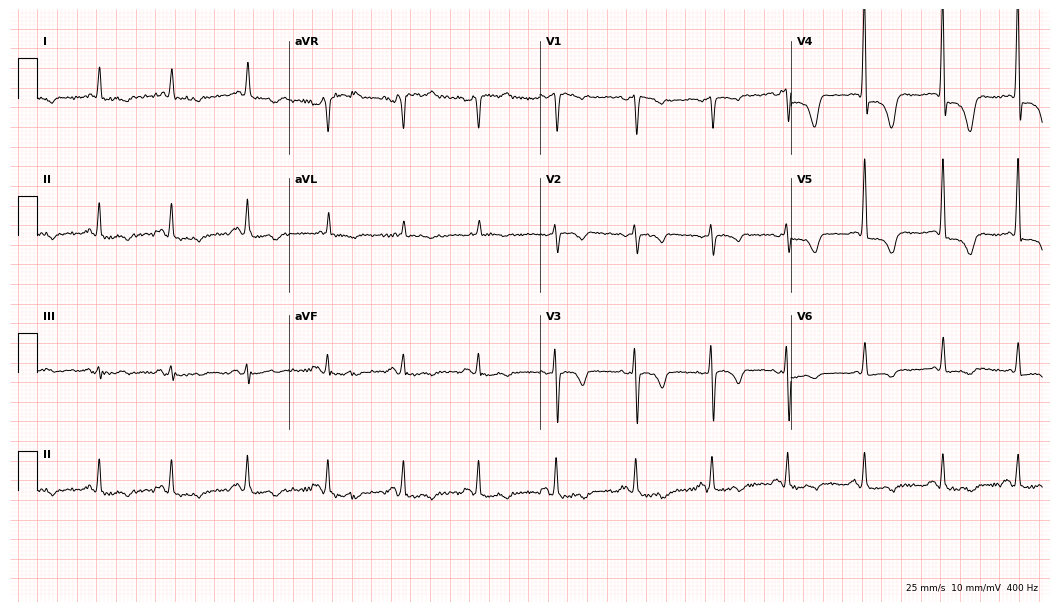
Electrocardiogram, an 83-year-old female patient. Of the six screened findings (first-degree AV block, right bundle branch block (RBBB), left bundle branch block (LBBB), sinus bradycardia, atrial fibrillation (AF), sinus tachycardia), none is recorded.